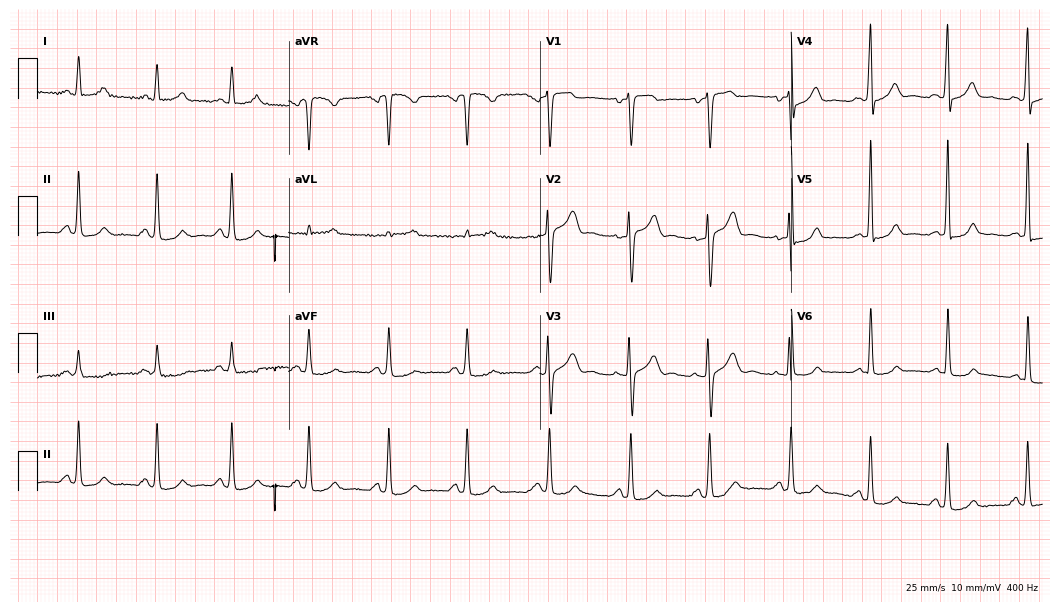
12-lead ECG from a 39-year-old woman. Recorded interpretation: within normal limits.